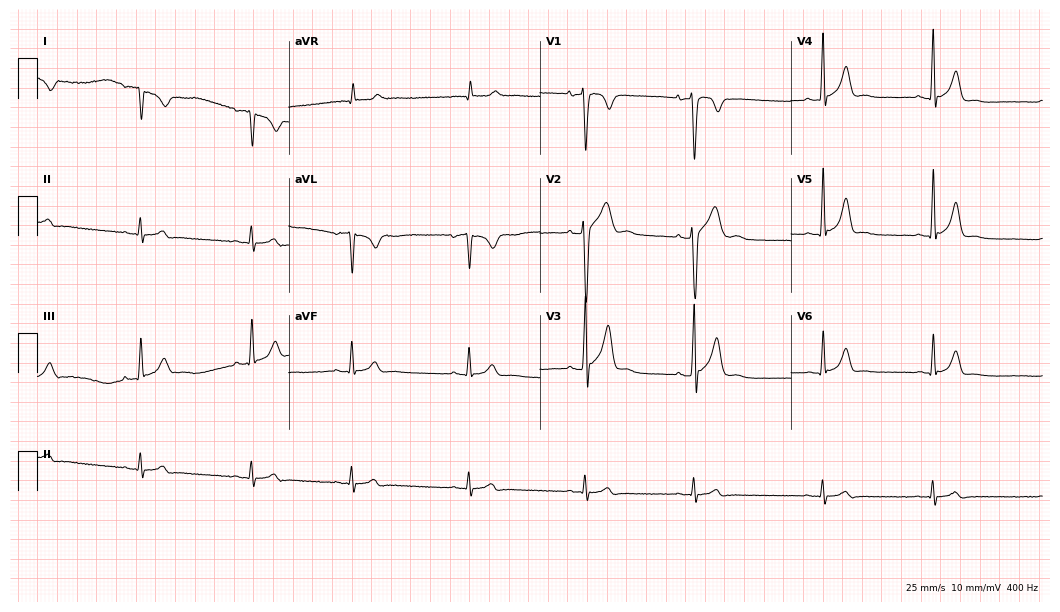
Electrocardiogram (10.2-second recording at 400 Hz), a man, 33 years old. Of the six screened findings (first-degree AV block, right bundle branch block (RBBB), left bundle branch block (LBBB), sinus bradycardia, atrial fibrillation (AF), sinus tachycardia), none is recorded. Other findings, if any, are not listed.